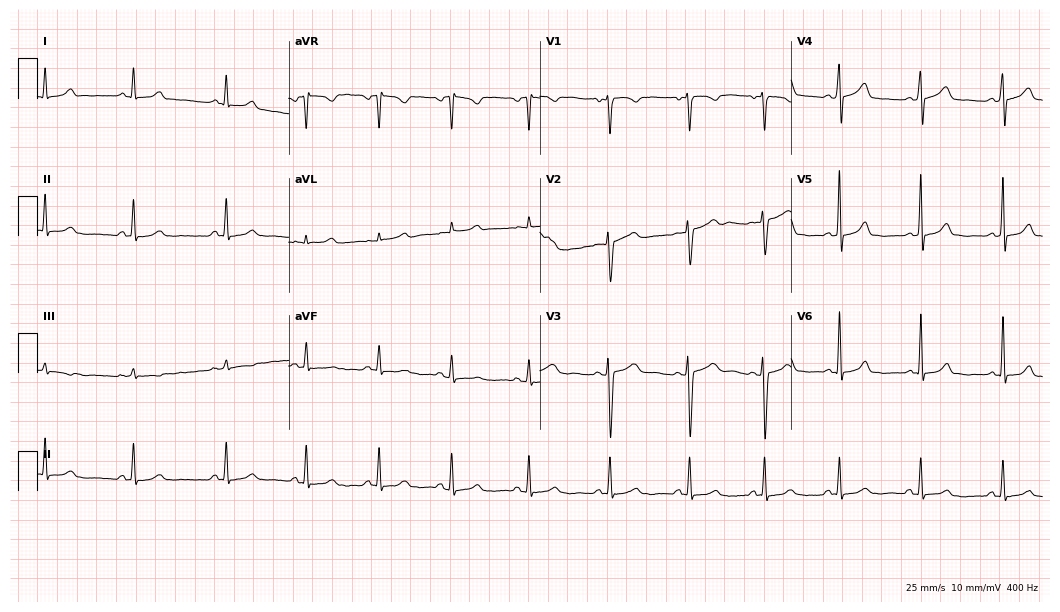
12-lead ECG from a female patient, 26 years old (10.2-second recording at 400 Hz). Recorded interpretation: within normal limits.